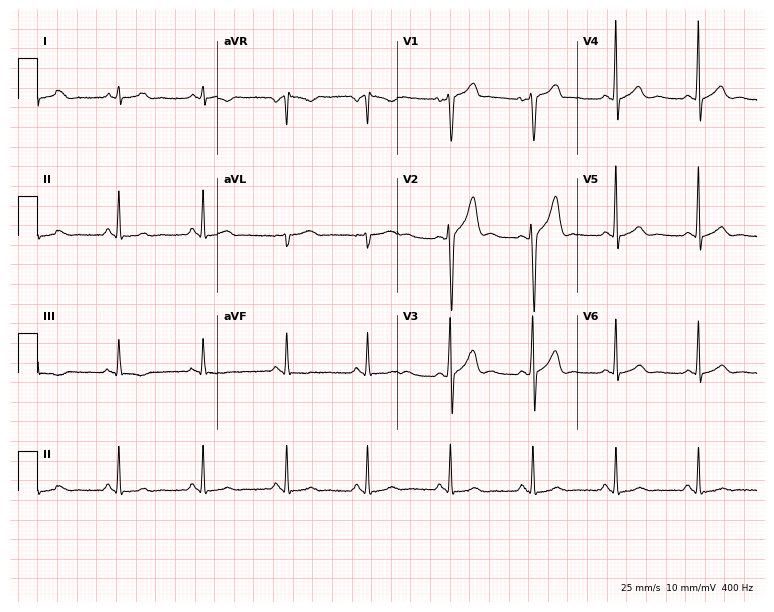
Electrocardiogram (7.3-second recording at 400 Hz), a man, 49 years old. Overall reading on record: normal ECG.